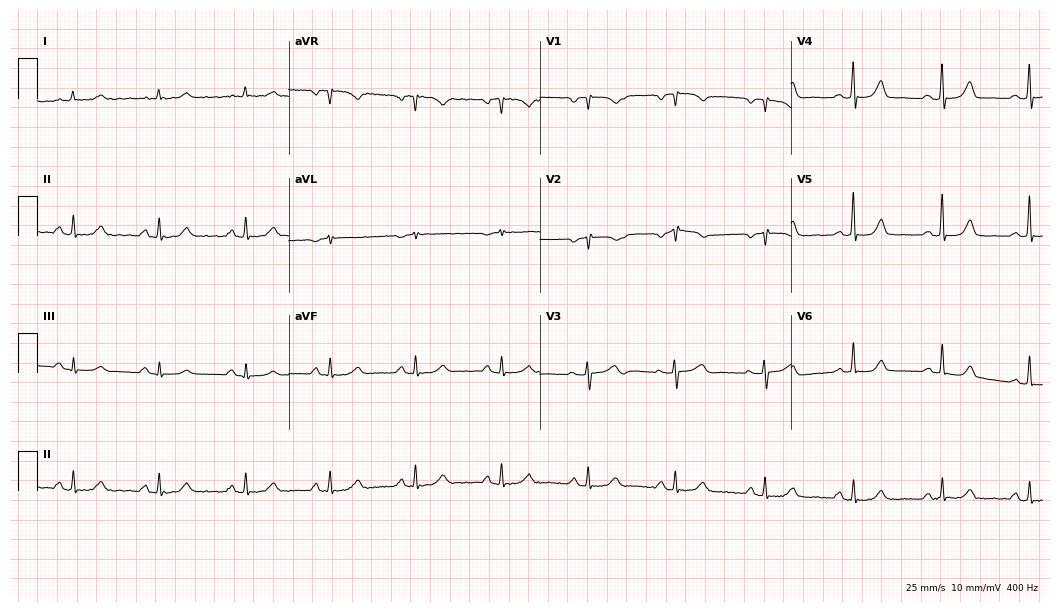
Resting 12-lead electrocardiogram (10.2-second recording at 400 Hz). Patient: a female, 64 years old. None of these six findings is recorded: first-degree AV block, right bundle branch block, left bundle branch block, sinus bradycardia, atrial fibrillation, sinus tachycardia. Only these six findings were labelled.